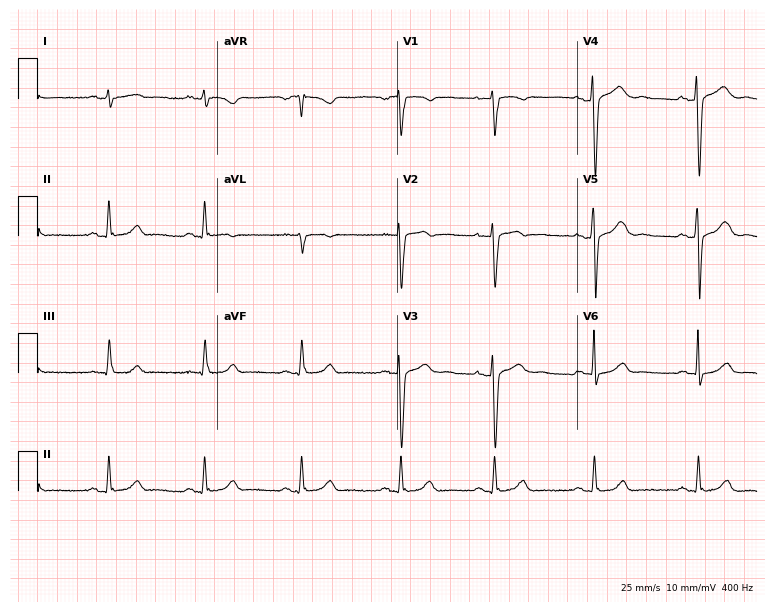
Resting 12-lead electrocardiogram. Patient: a woman, 32 years old. Read as a normal ECG.